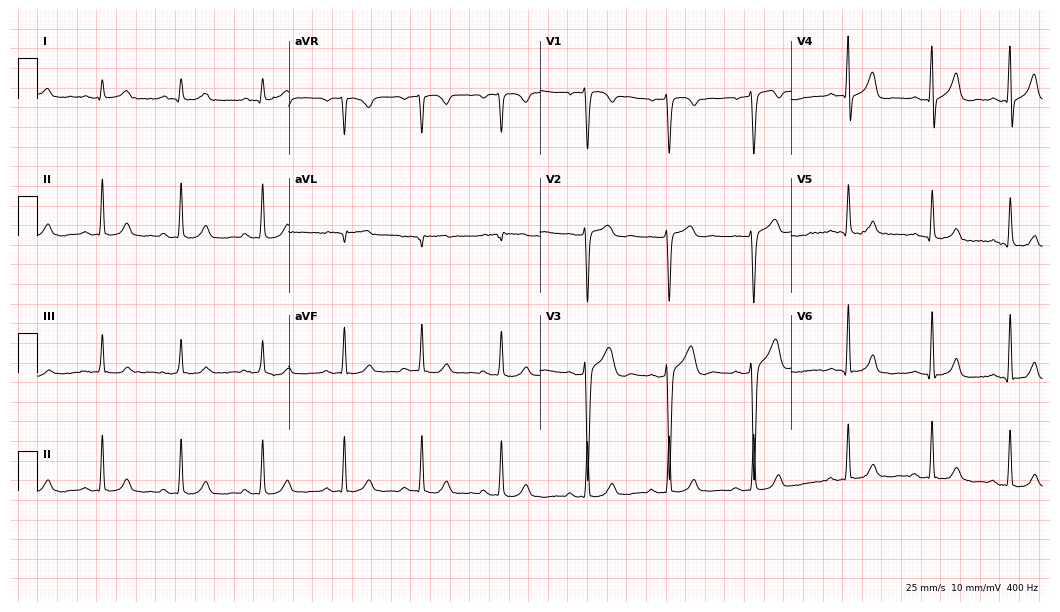
12-lead ECG from a male, 28 years old. Labelled as a normal ECG.